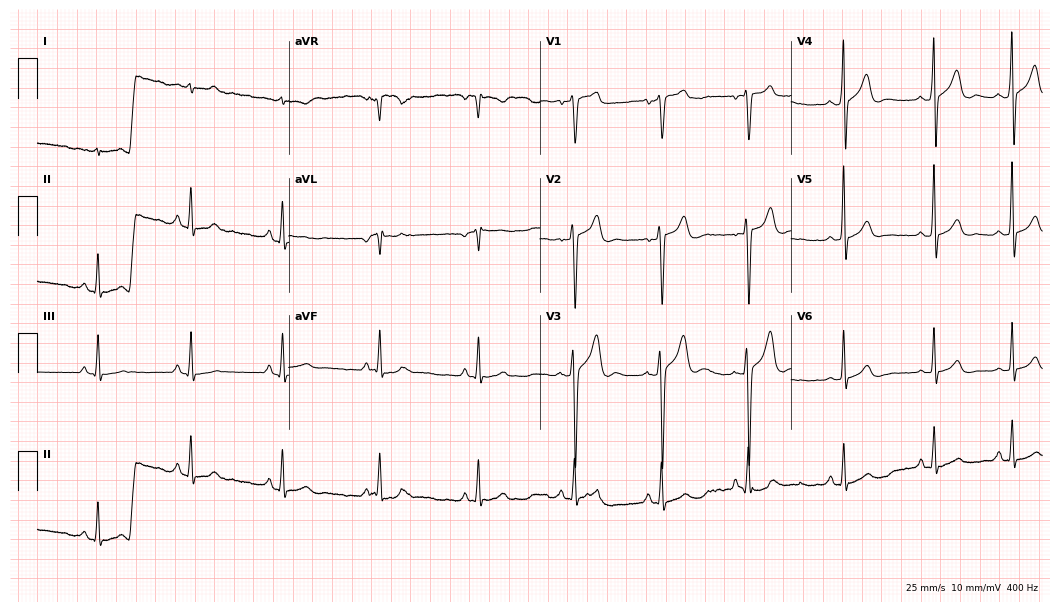
Standard 12-lead ECG recorded from a male patient, 19 years old. None of these six findings is recorded: first-degree AV block, right bundle branch block, left bundle branch block, sinus bradycardia, atrial fibrillation, sinus tachycardia.